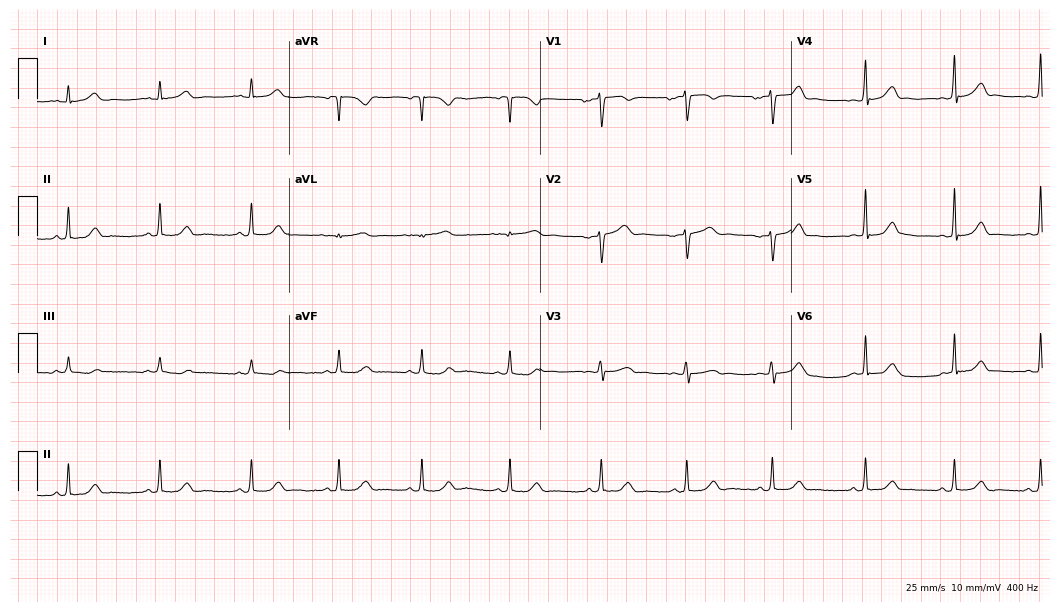
Resting 12-lead electrocardiogram (10.2-second recording at 400 Hz). Patient: a female, 34 years old. Read as a normal ECG.